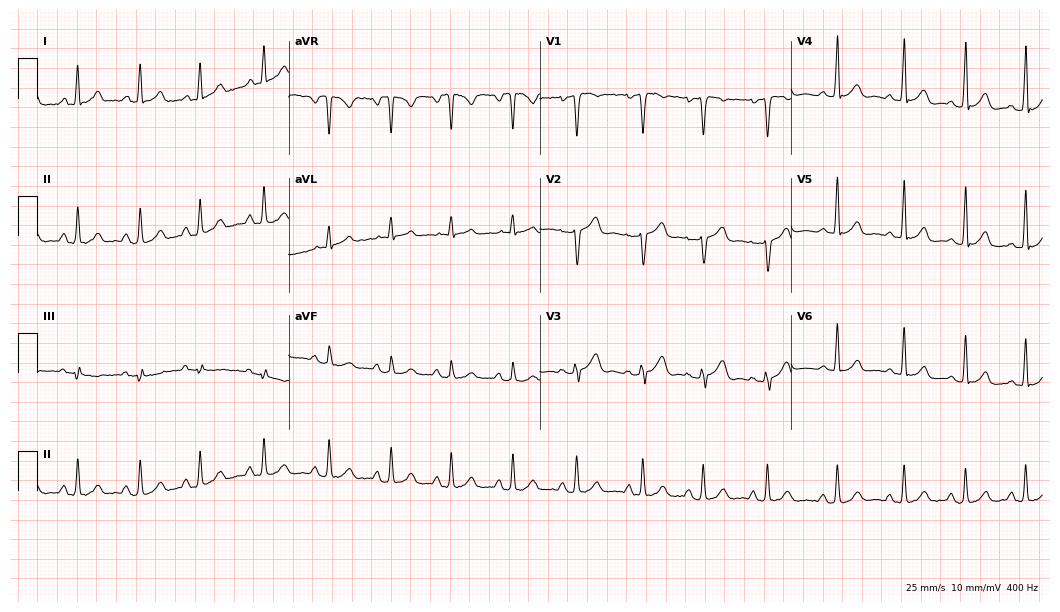
Electrocardiogram (10.2-second recording at 400 Hz), a female patient, 25 years old. Overall reading on record: normal ECG.